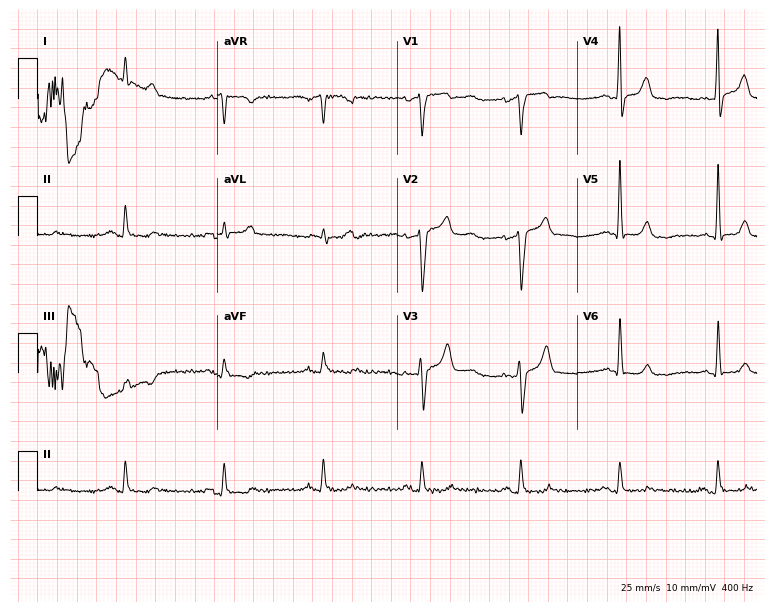
12-lead ECG from an 81-year-old man. No first-degree AV block, right bundle branch block (RBBB), left bundle branch block (LBBB), sinus bradycardia, atrial fibrillation (AF) or sinus tachycardia recorded for this tracing. Findings outside these six are not listed.